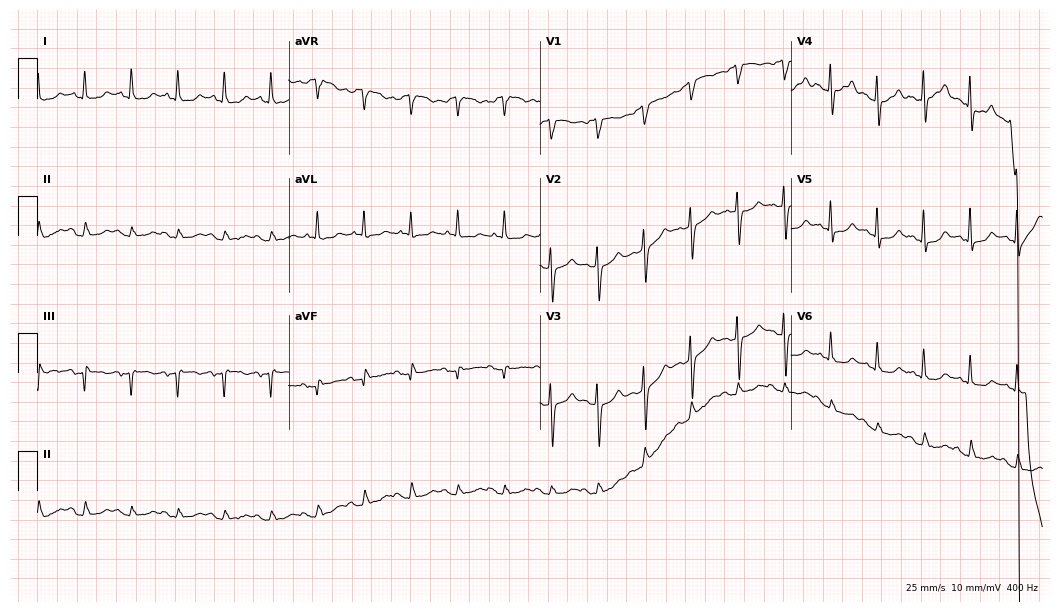
ECG — a 72-year-old female. Screened for six findings — first-degree AV block, right bundle branch block, left bundle branch block, sinus bradycardia, atrial fibrillation, sinus tachycardia — none is recorded.